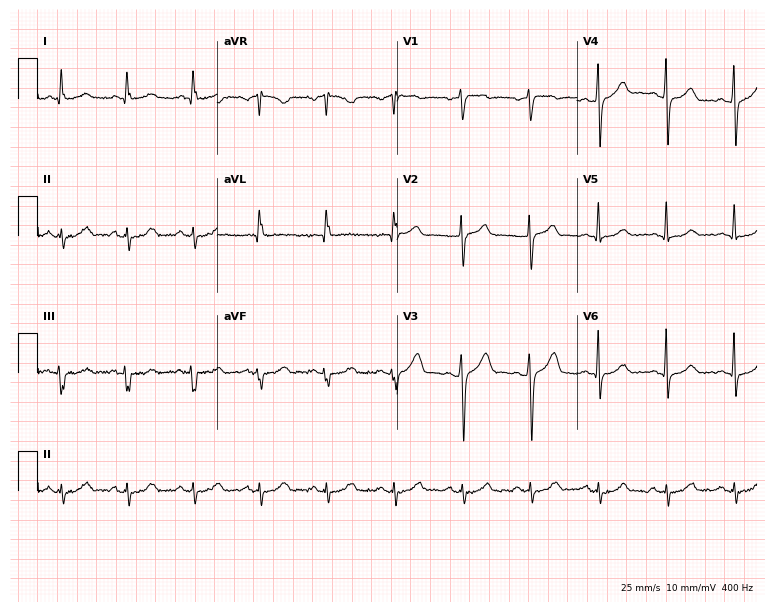
Resting 12-lead electrocardiogram (7.3-second recording at 400 Hz). Patient: a 53-year-old male. Read as a normal ECG.